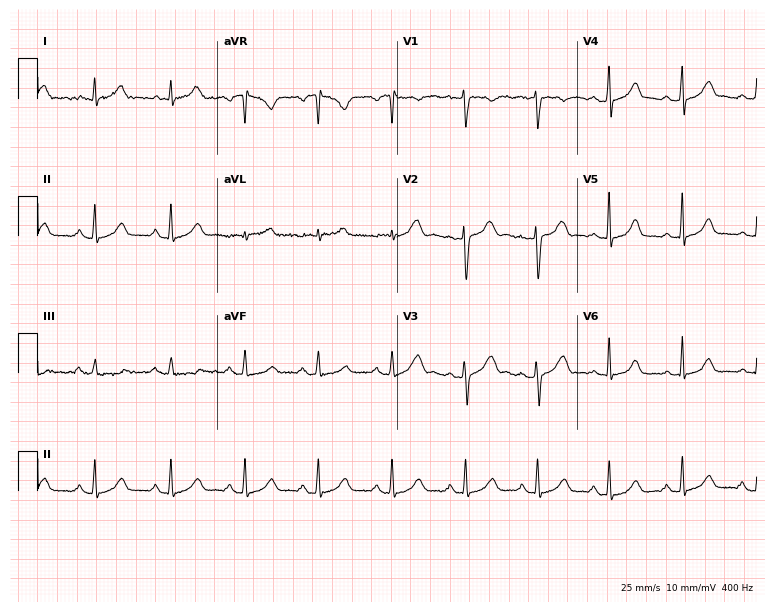
12-lead ECG (7.3-second recording at 400 Hz) from a female, 30 years old. Screened for six findings — first-degree AV block, right bundle branch block, left bundle branch block, sinus bradycardia, atrial fibrillation, sinus tachycardia — none is recorded.